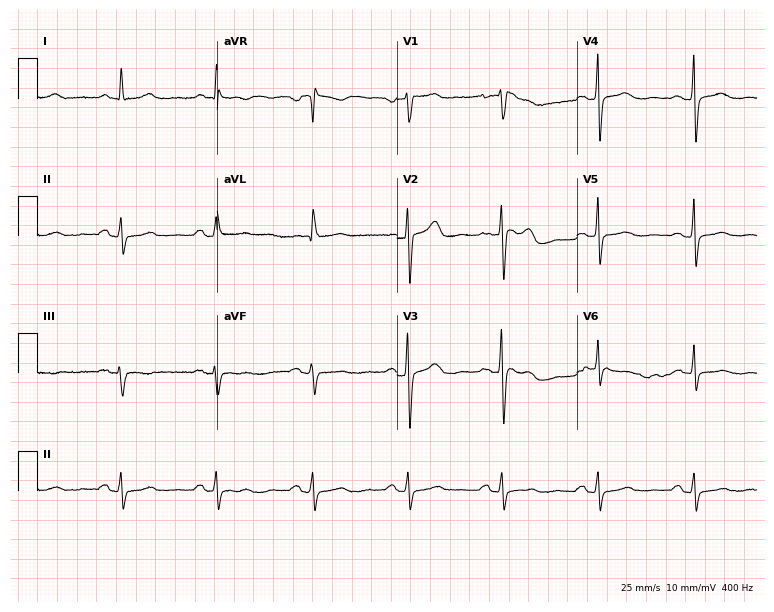
12-lead ECG from a female, 55 years old (7.3-second recording at 400 Hz). Recorded interpretation: within normal limits.